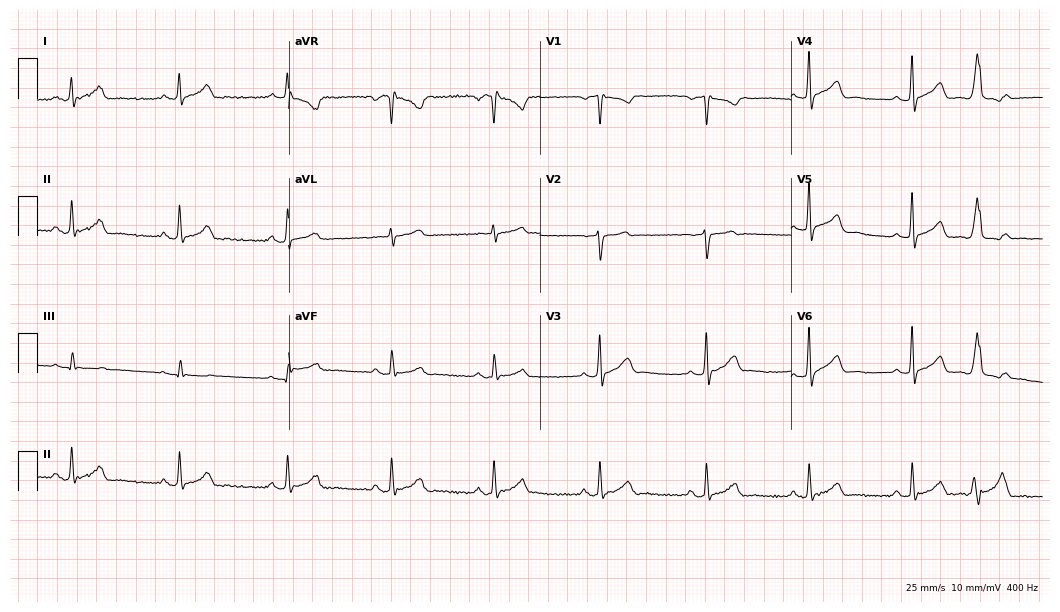
12-lead ECG from a 34-year-old man (10.2-second recording at 400 Hz). No first-degree AV block, right bundle branch block, left bundle branch block, sinus bradycardia, atrial fibrillation or sinus tachycardia recorded for this tracing.